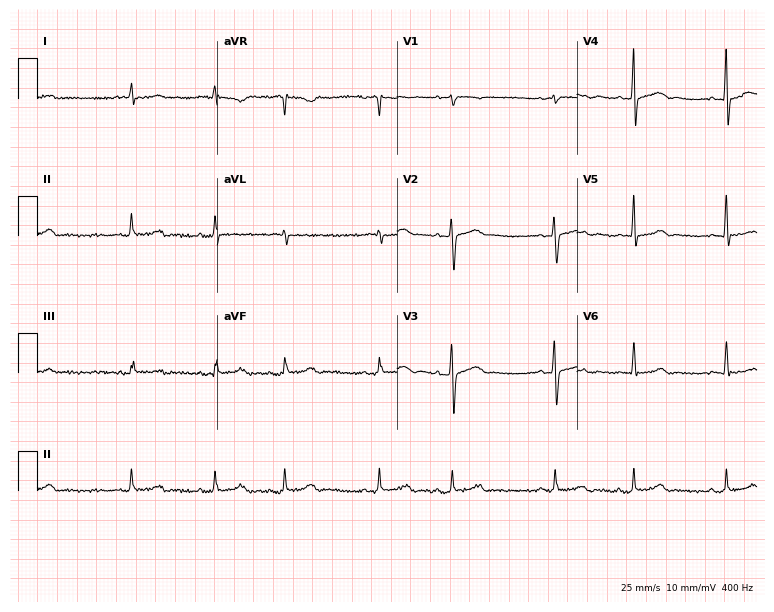
Electrocardiogram, a man, 79 years old. Interpretation includes atrial fibrillation.